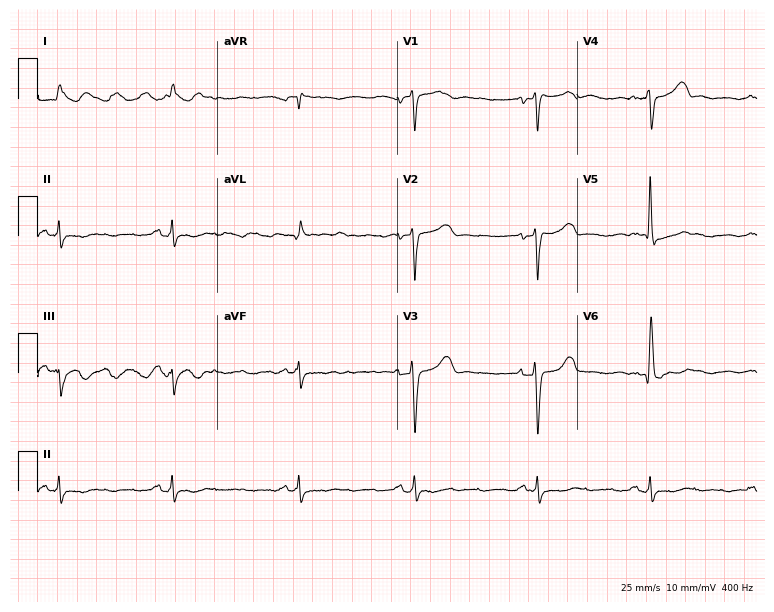
12-lead ECG from a 77-year-old woman (7.3-second recording at 400 Hz). Shows sinus bradycardia (a sinus rate of 50 beats per minute or less).